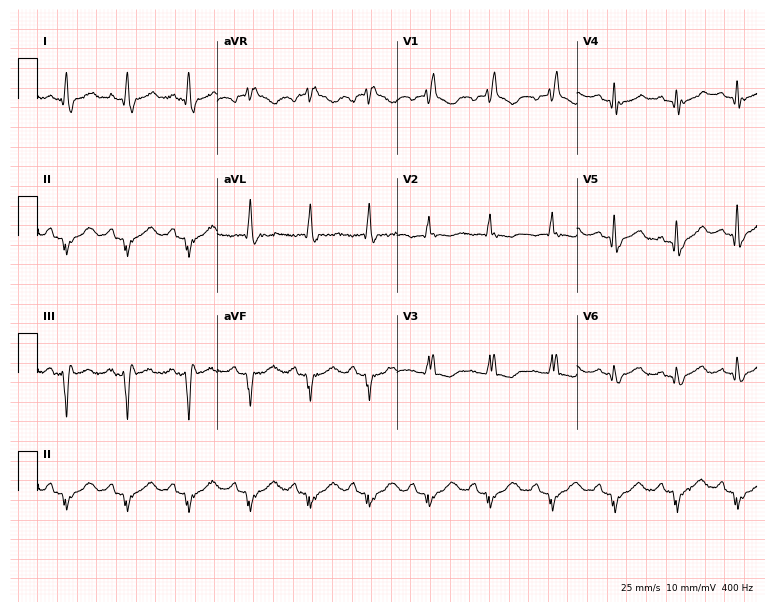
Electrocardiogram, a female, 72 years old. Interpretation includes right bundle branch block (RBBB).